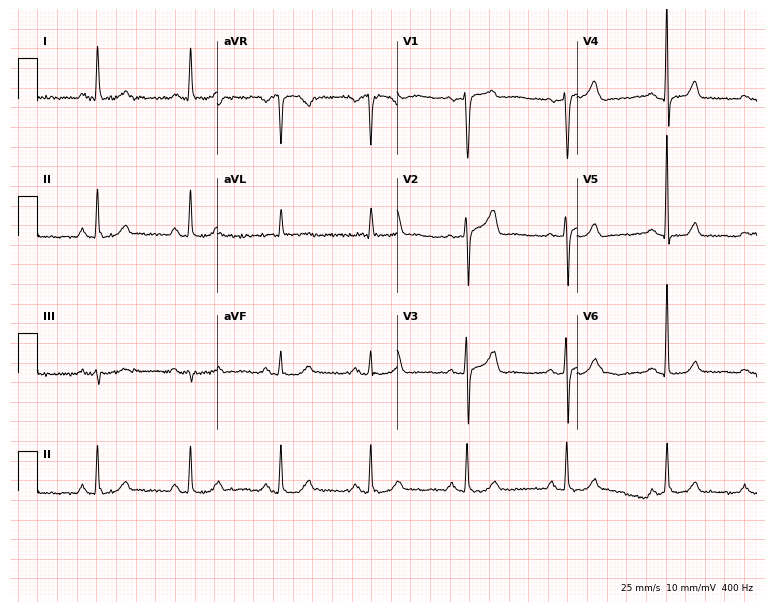
12-lead ECG from a female, 52 years old. No first-degree AV block, right bundle branch block, left bundle branch block, sinus bradycardia, atrial fibrillation or sinus tachycardia recorded for this tracing.